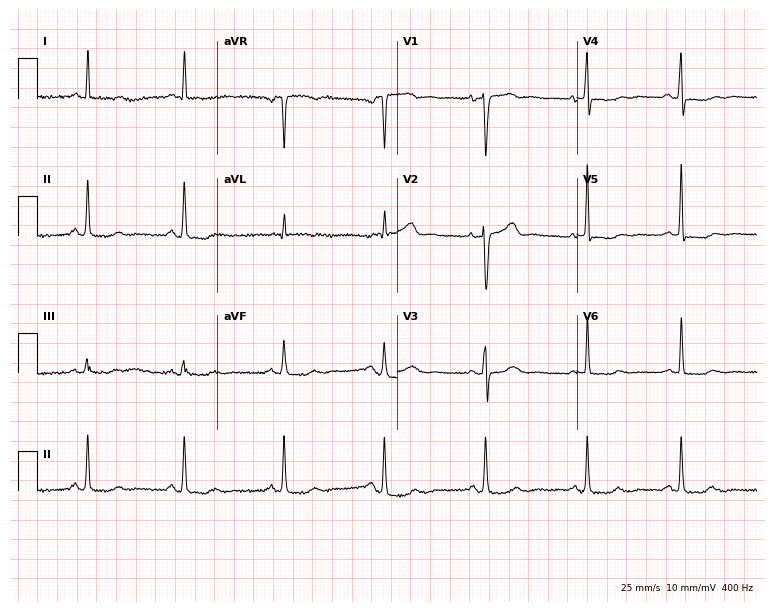
Electrocardiogram, a woman, 59 years old. Of the six screened findings (first-degree AV block, right bundle branch block, left bundle branch block, sinus bradycardia, atrial fibrillation, sinus tachycardia), none is recorded. Findings outside these six are not listed.